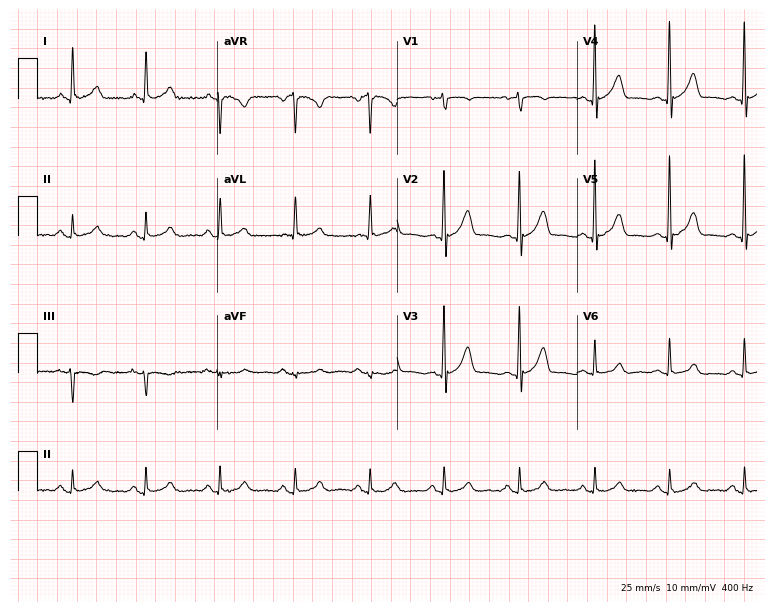
Resting 12-lead electrocardiogram. Patient: a female, 71 years old. Read as a normal ECG.